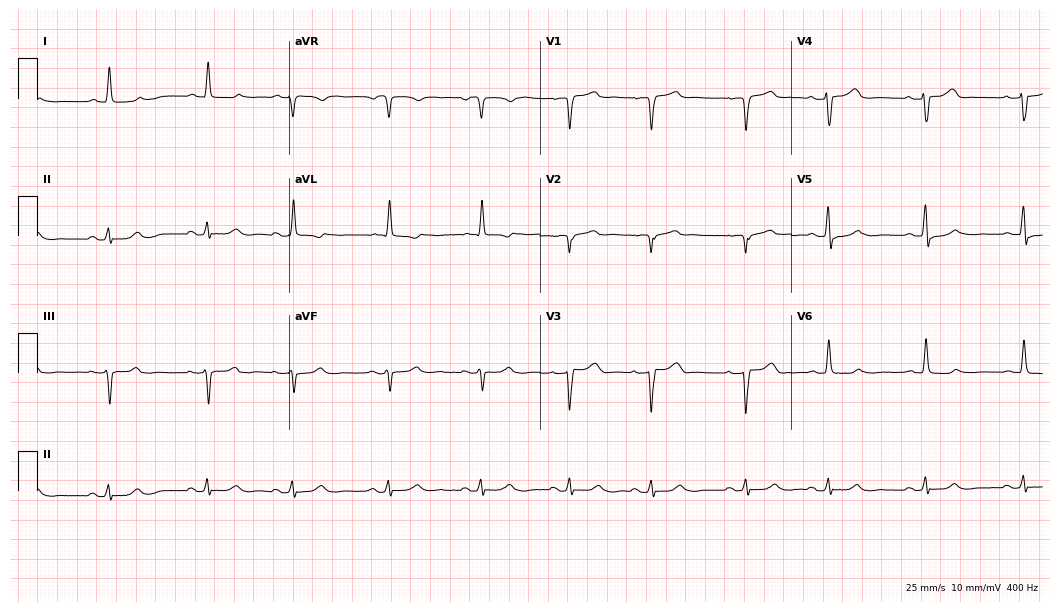
ECG — a male, 80 years old. Screened for six findings — first-degree AV block, right bundle branch block (RBBB), left bundle branch block (LBBB), sinus bradycardia, atrial fibrillation (AF), sinus tachycardia — none is recorded.